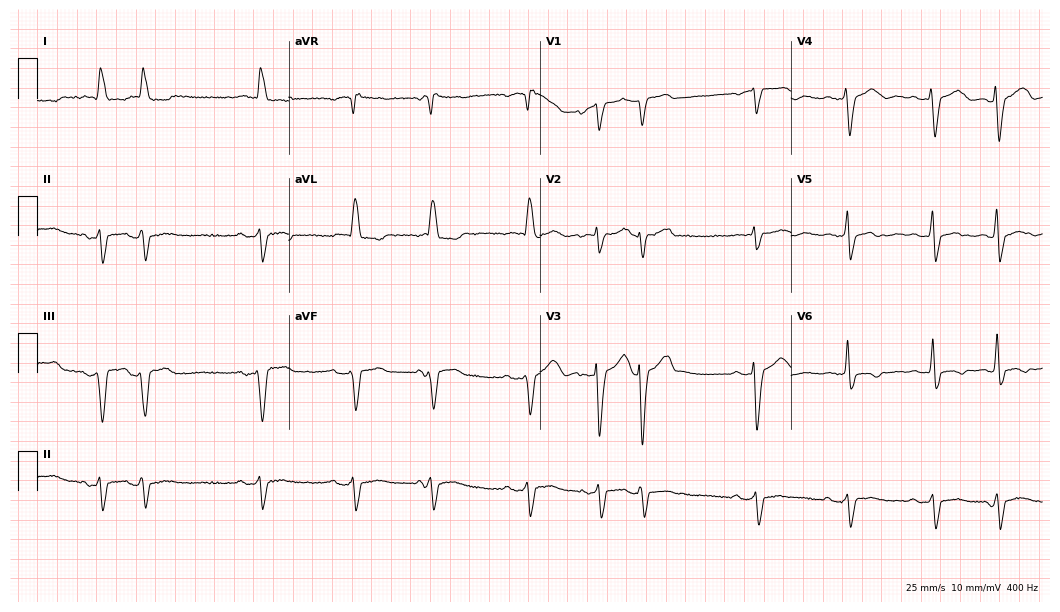
12-lead ECG from a female patient, 80 years old. Shows left bundle branch block.